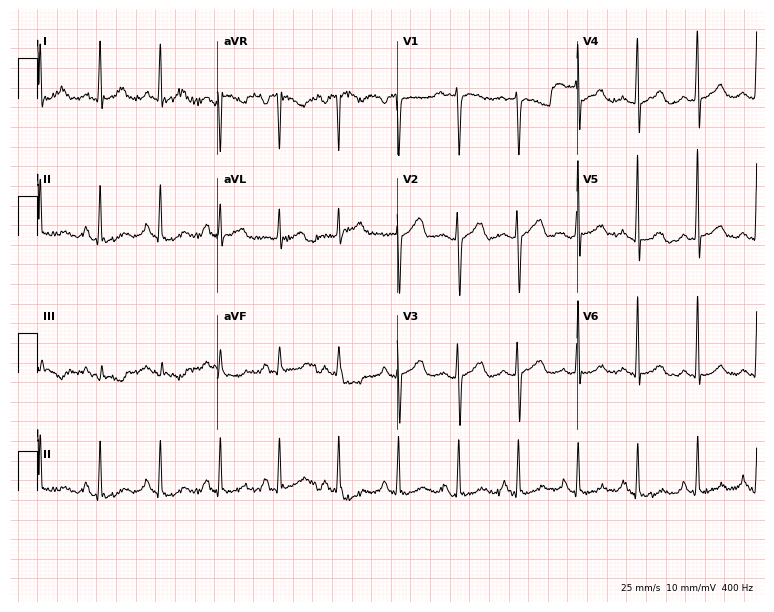
Resting 12-lead electrocardiogram. Patient: a female, 69 years old. None of these six findings is recorded: first-degree AV block, right bundle branch block, left bundle branch block, sinus bradycardia, atrial fibrillation, sinus tachycardia.